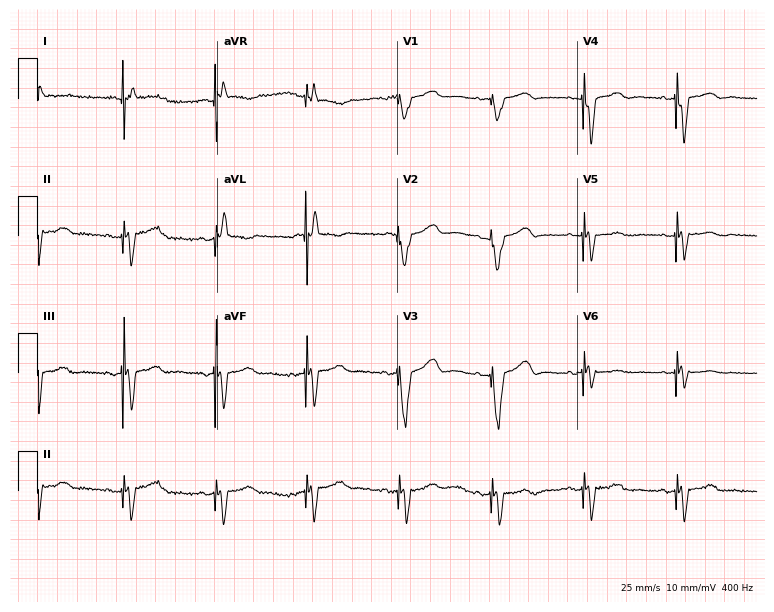
Electrocardiogram, a female patient, 68 years old. Of the six screened findings (first-degree AV block, right bundle branch block (RBBB), left bundle branch block (LBBB), sinus bradycardia, atrial fibrillation (AF), sinus tachycardia), none is recorded.